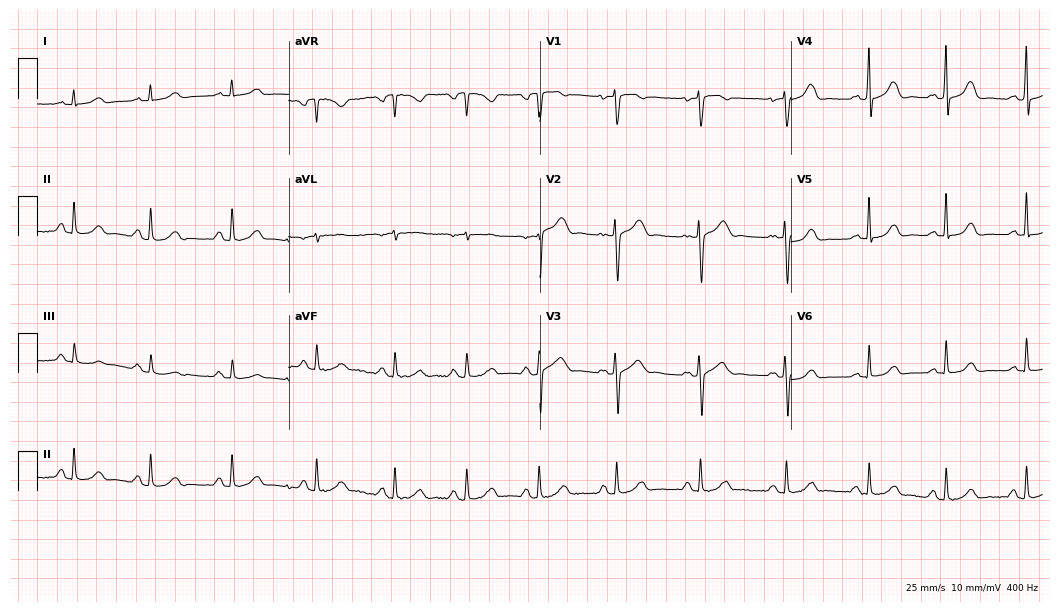
Electrocardiogram (10.2-second recording at 400 Hz), a female, 31 years old. Overall reading on record: normal ECG.